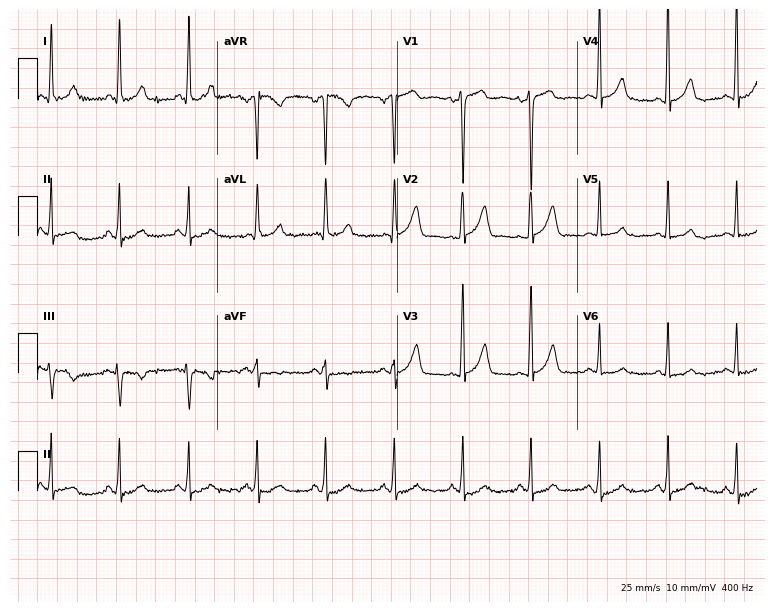
12-lead ECG (7.3-second recording at 400 Hz) from a 44-year-old woman. Screened for six findings — first-degree AV block, right bundle branch block, left bundle branch block, sinus bradycardia, atrial fibrillation, sinus tachycardia — none is recorded.